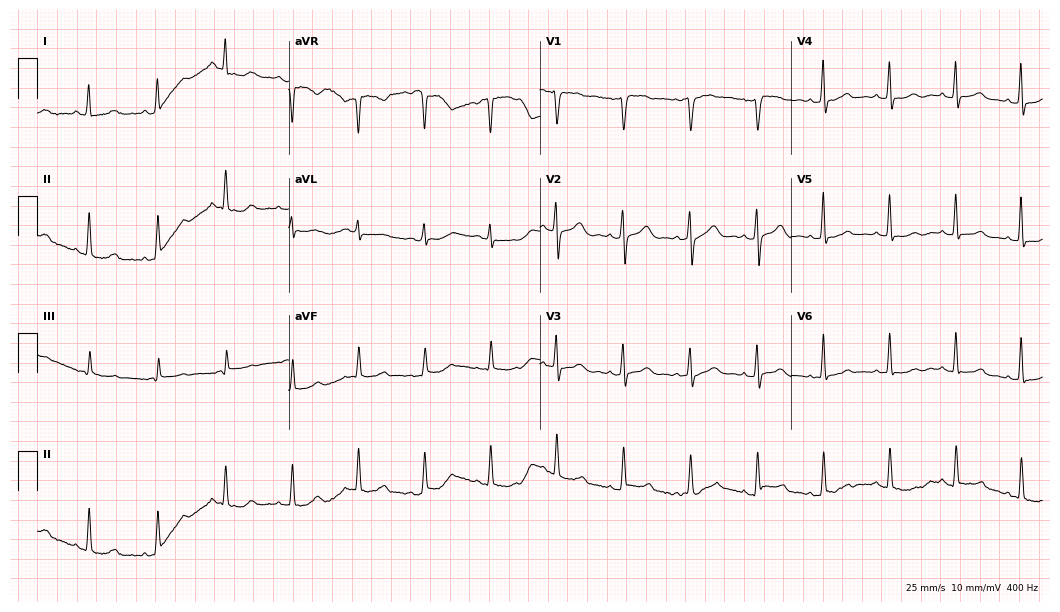
12-lead ECG from a woman, 38 years old. Recorded interpretation: within normal limits.